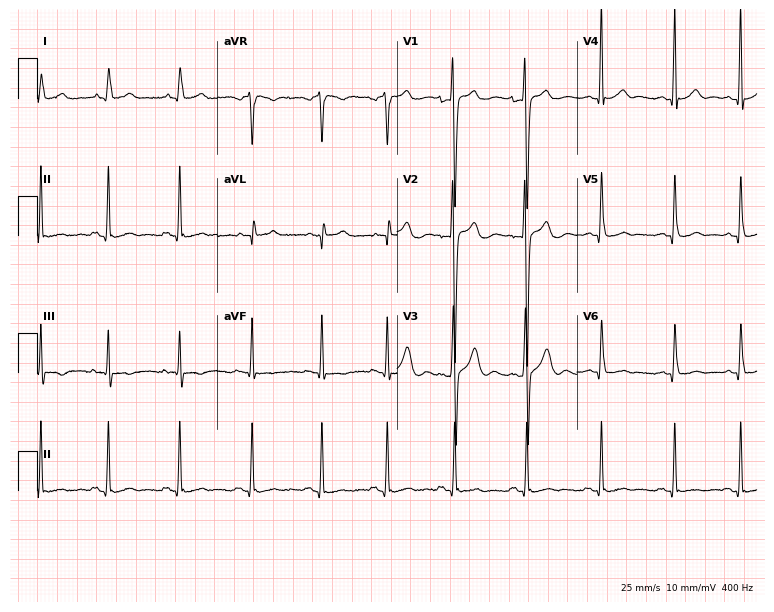
ECG (7.3-second recording at 400 Hz) — a 17-year-old man. Screened for six findings — first-degree AV block, right bundle branch block (RBBB), left bundle branch block (LBBB), sinus bradycardia, atrial fibrillation (AF), sinus tachycardia — none is recorded.